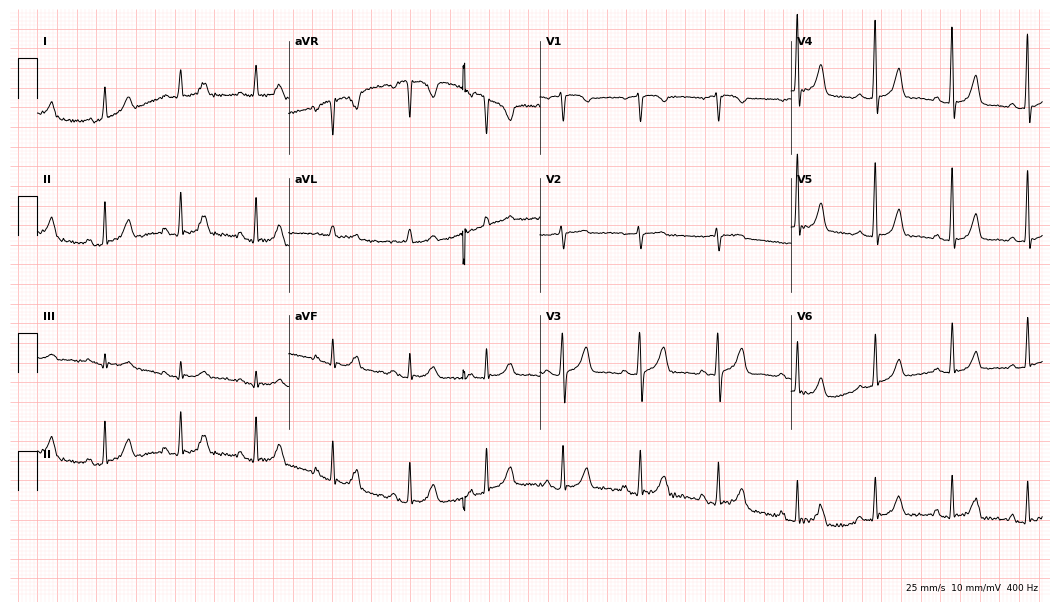
Standard 12-lead ECG recorded from a 67-year-old female. None of these six findings is recorded: first-degree AV block, right bundle branch block (RBBB), left bundle branch block (LBBB), sinus bradycardia, atrial fibrillation (AF), sinus tachycardia. Findings outside these six are not listed.